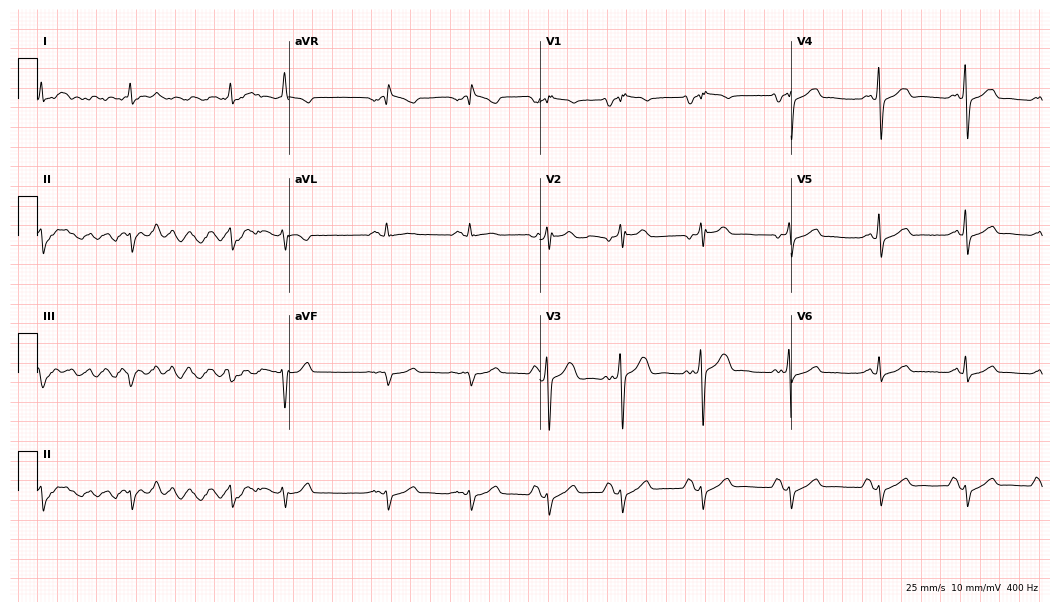
Resting 12-lead electrocardiogram. Patient: a 50-year-old man. None of these six findings is recorded: first-degree AV block, right bundle branch block, left bundle branch block, sinus bradycardia, atrial fibrillation, sinus tachycardia. Only these six findings were labelled.